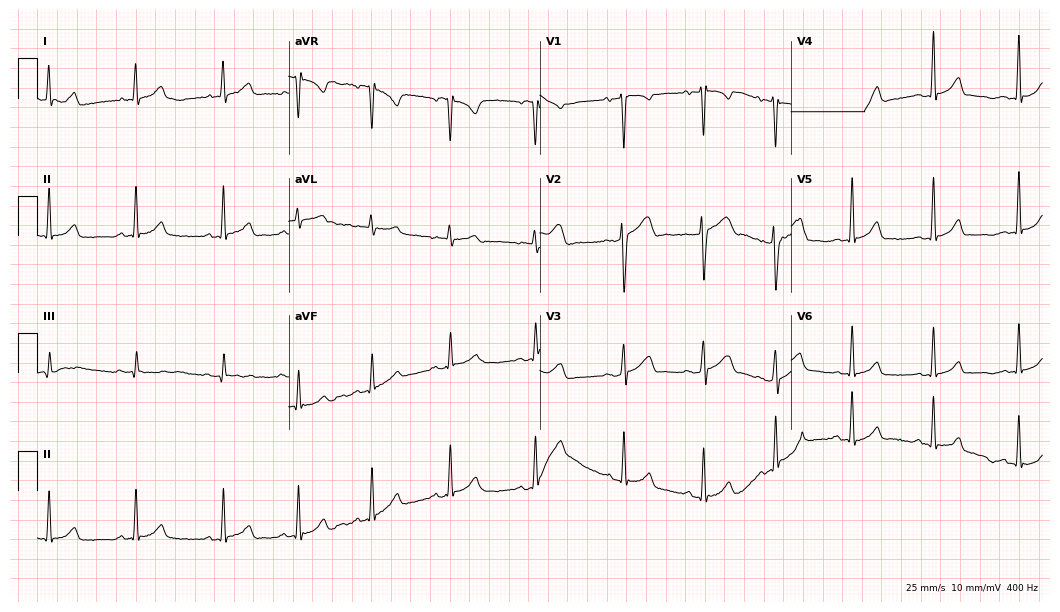
12-lead ECG (10.2-second recording at 400 Hz) from a 32-year-old female patient. Screened for six findings — first-degree AV block, right bundle branch block, left bundle branch block, sinus bradycardia, atrial fibrillation, sinus tachycardia — none is recorded.